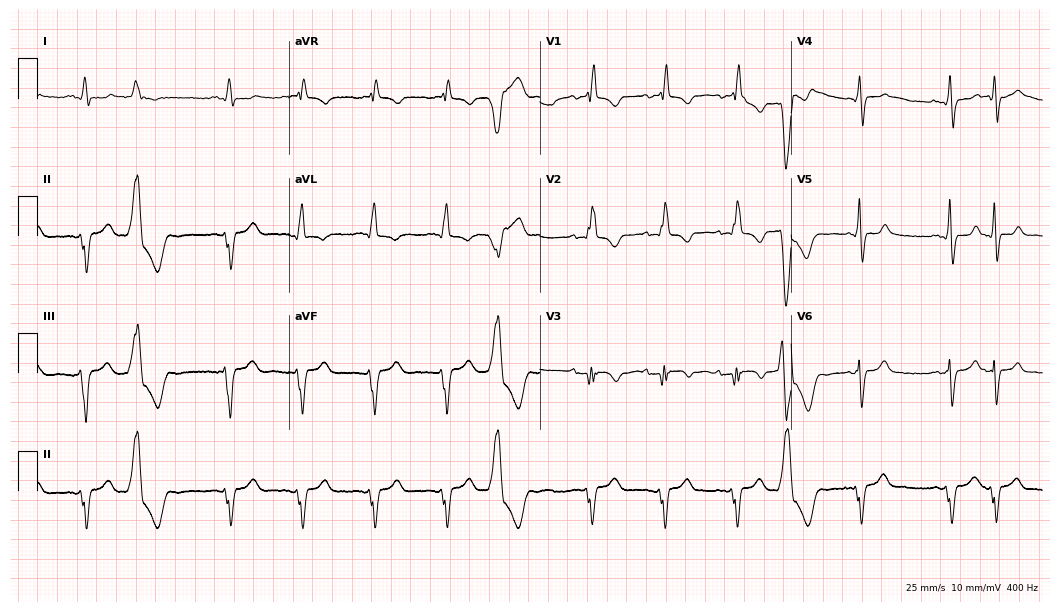
Standard 12-lead ECG recorded from a male patient, 68 years old (10.2-second recording at 400 Hz). The tracing shows right bundle branch block.